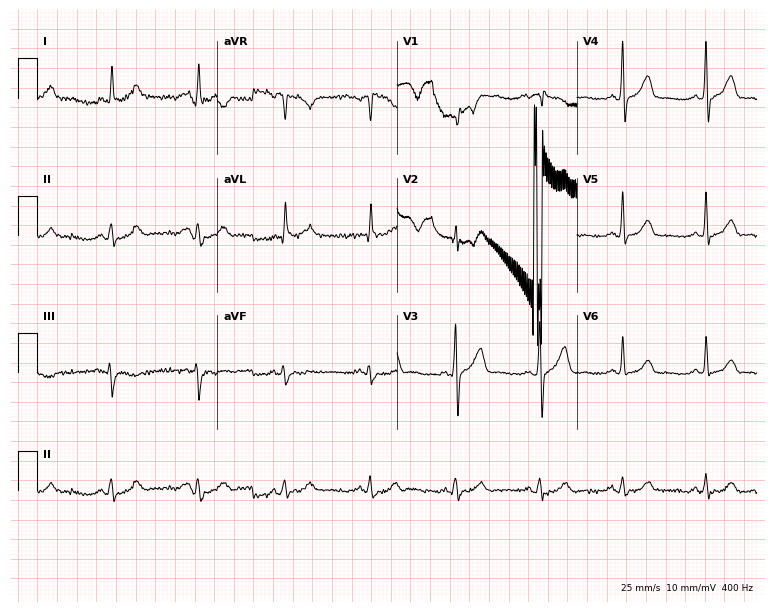
Standard 12-lead ECG recorded from a male, 59 years old. None of these six findings is recorded: first-degree AV block, right bundle branch block, left bundle branch block, sinus bradycardia, atrial fibrillation, sinus tachycardia. Other findings, if any, are not listed.